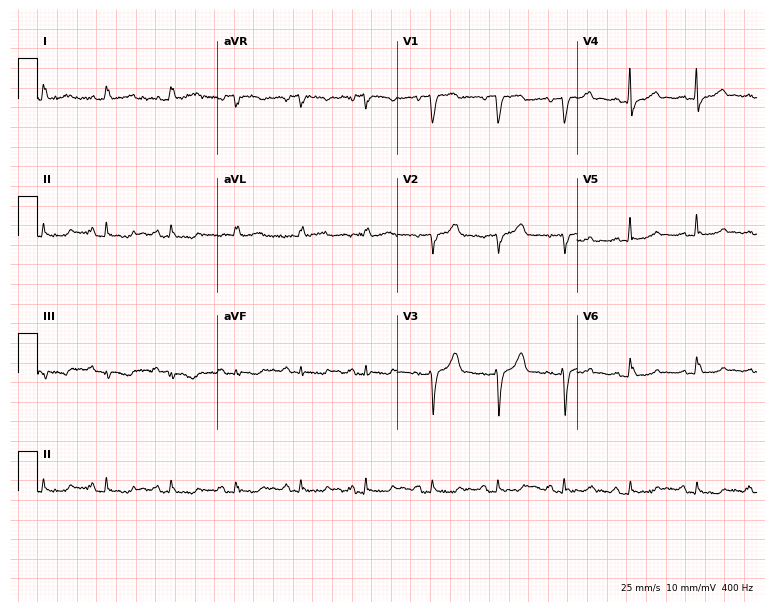
Standard 12-lead ECG recorded from a 79-year-old male. None of these six findings is recorded: first-degree AV block, right bundle branch block, left bundle branch block, sinus bradycardia, atrial fibrillation, sinus tachycardia.